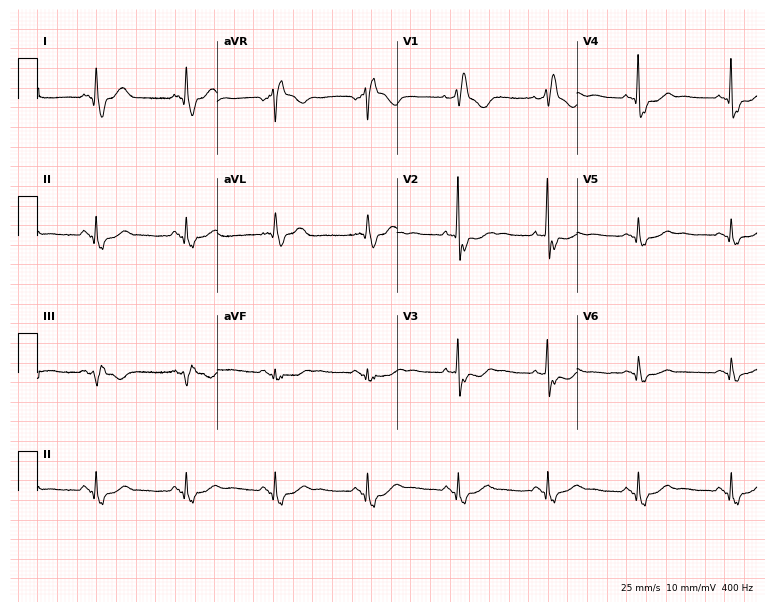
Resting 12-lead electrocardiogram. Patient: an 82-year-old female. The tracing shows right bundle branch block.